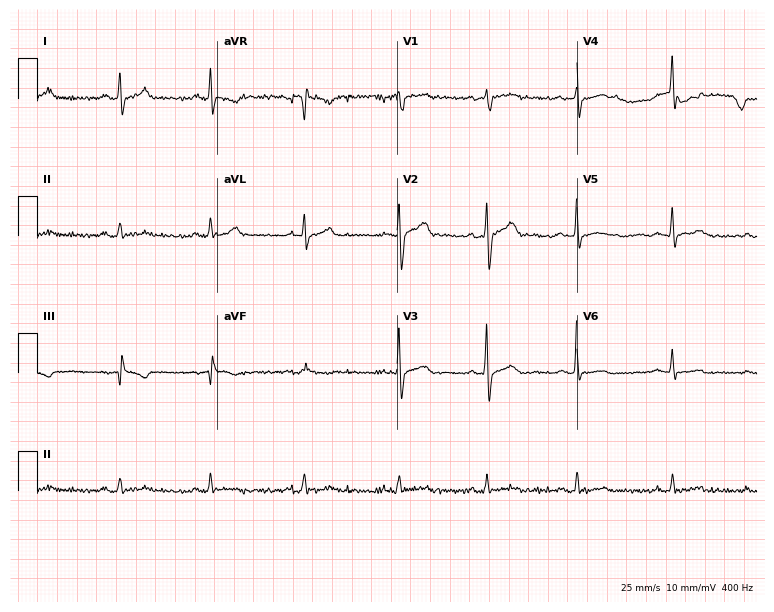
12-lead ECG from a male, 40 years old. Screened for six findings — first-degree AV block, right bundle branch block, left bundle branch block, sinus bradycardia, atrial fibrillation, sinus tachycardia — none is recorded. Findings outside these six are not listed.